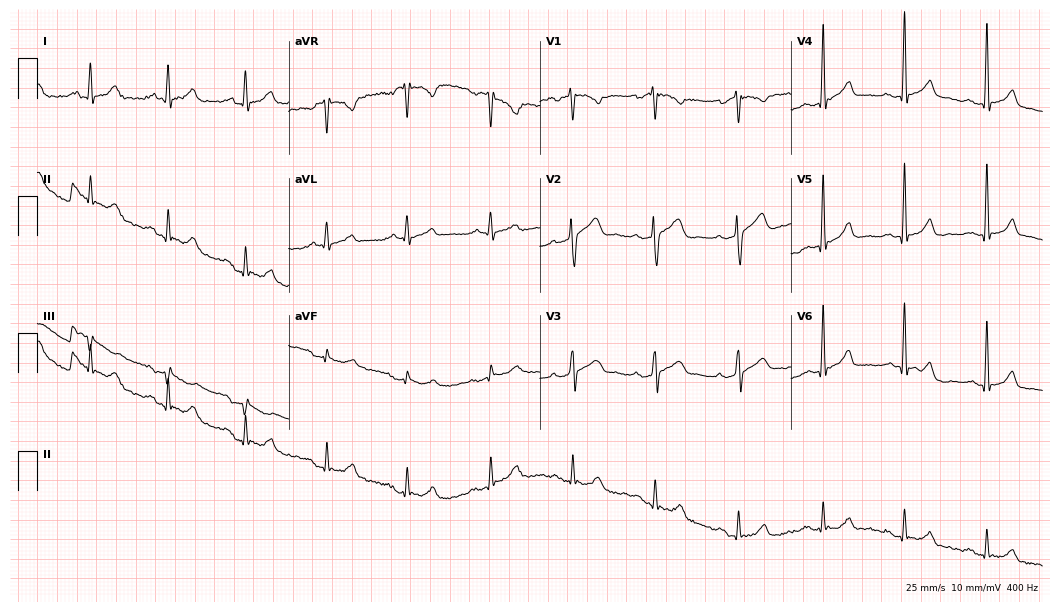
Standard 12-lead ECG recorded from a man, 44 years old (10.2-second recording at 400 Hz). Read as a normal ECG.